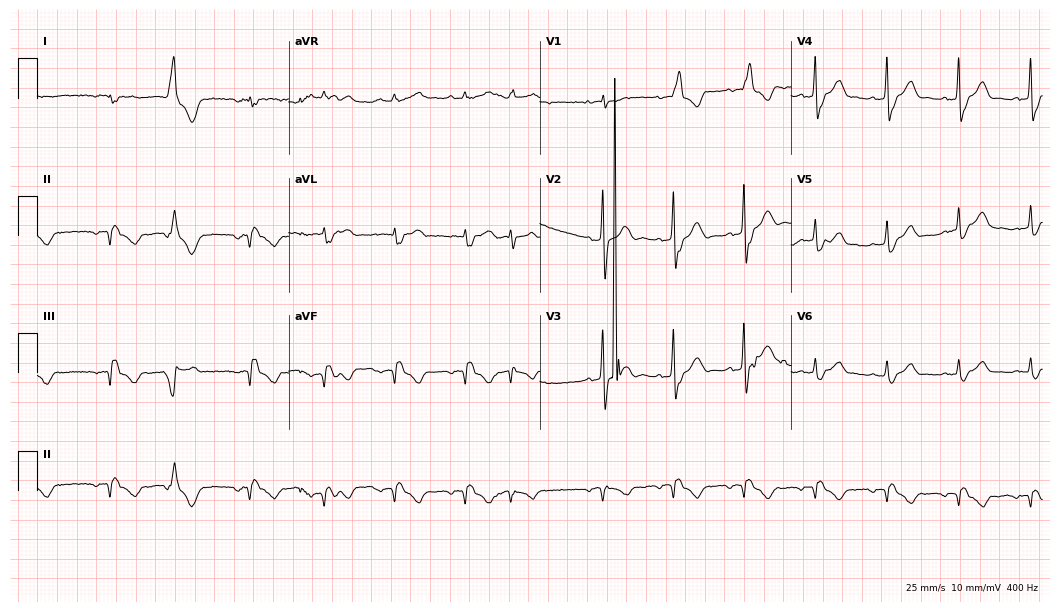
12-lead ECG (10.2-second recording at 400 Hz) from a male, 75 years old. Screened for six findings — first-degree AV block, right bundle branch block (RBBB), left bundle branch block (LBBB), sinus bradycardia, atrial fibrillation (AF), sinus tachycardia — none is recorded. Findings outside these six are not listed.